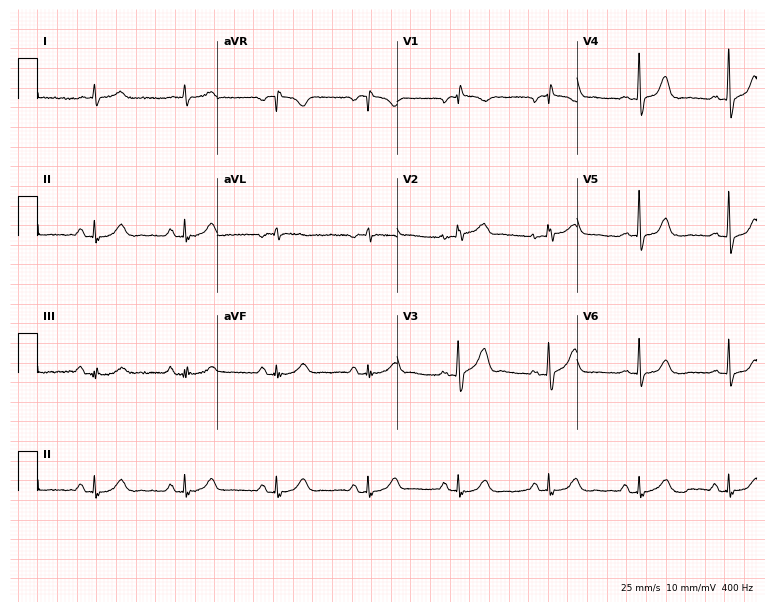
Electrocardiogram, a male, 76 years old. Of the six screened findings (first-degree AV block, right bundle branch block (RBBB), left bundle branch block (LBBB), sinus bradycardia, atrial fibrillation (AF), sinus tachycardia), none is recorded. Other findings, if any, are not listed.